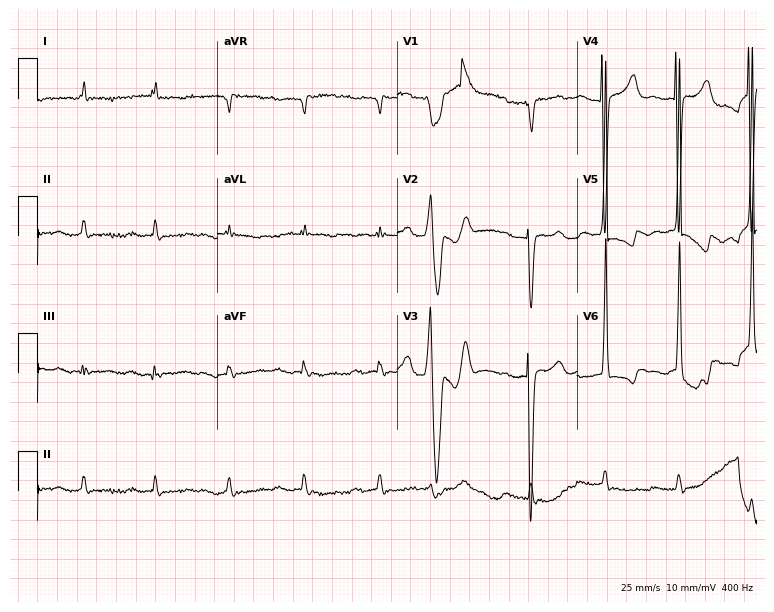
12-lead ECG from a male, 82 years old (7.3-second recording at 400 Hz). Shows atrial fibrillation.